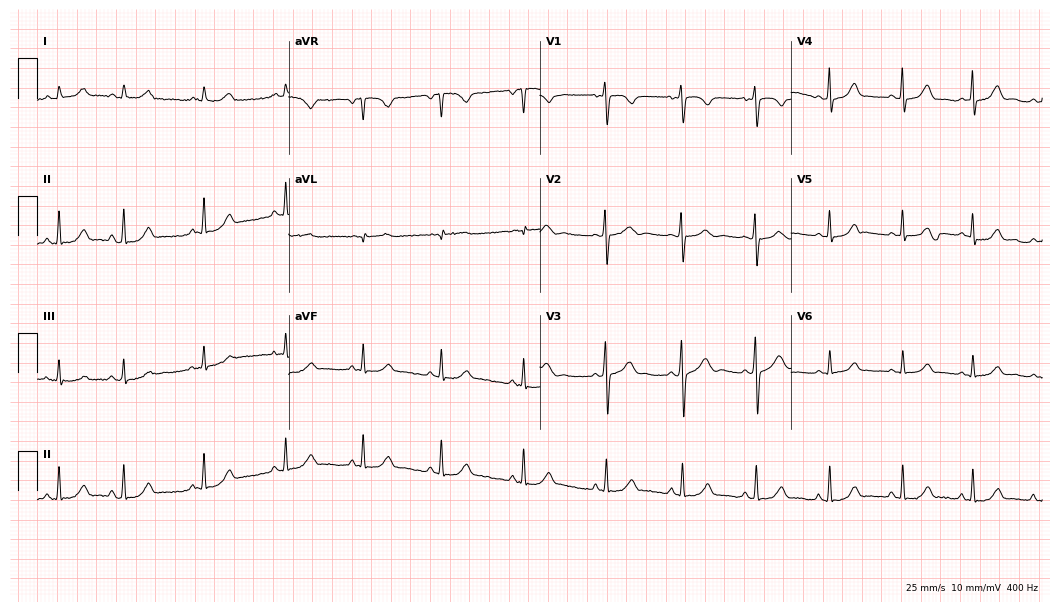
12-lead ECG from a female patient, 18 years old. Labelled as a normal ECG.